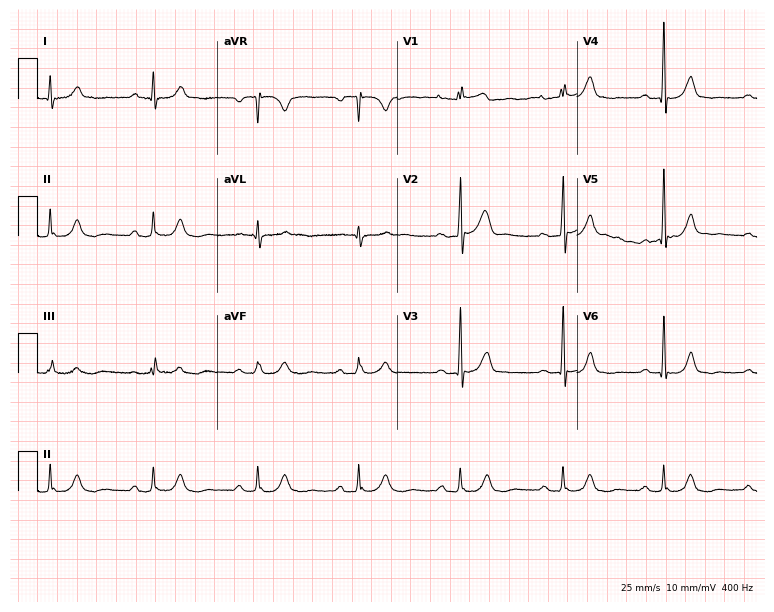
12-lead ECG from a man, 60 years old. Screened for six findings — first-degree AV block, right bundle branch block, left bundle branch block, sinus bradycardia, atrial fibrillation, sinus tachycardia — none is recorded.